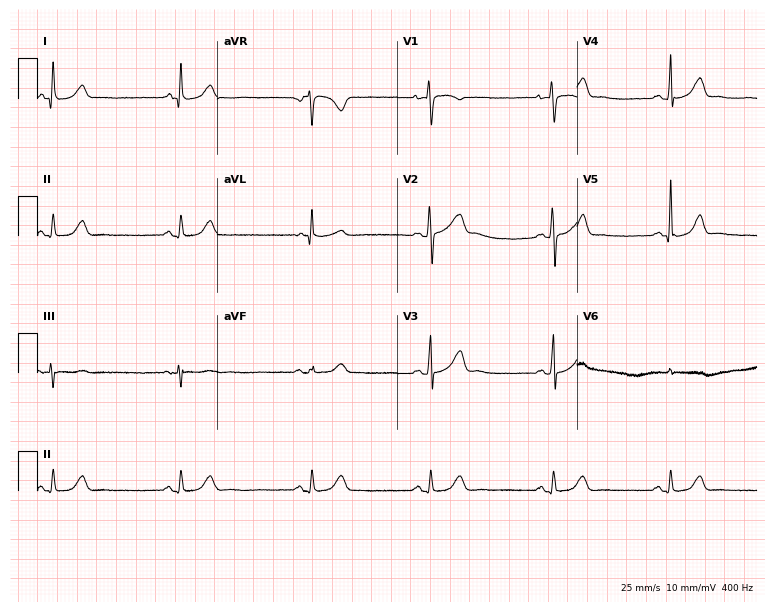
Resting 12-lead electrocardiogram. Patient: a 34-year-old female. Read as a normal ECG.